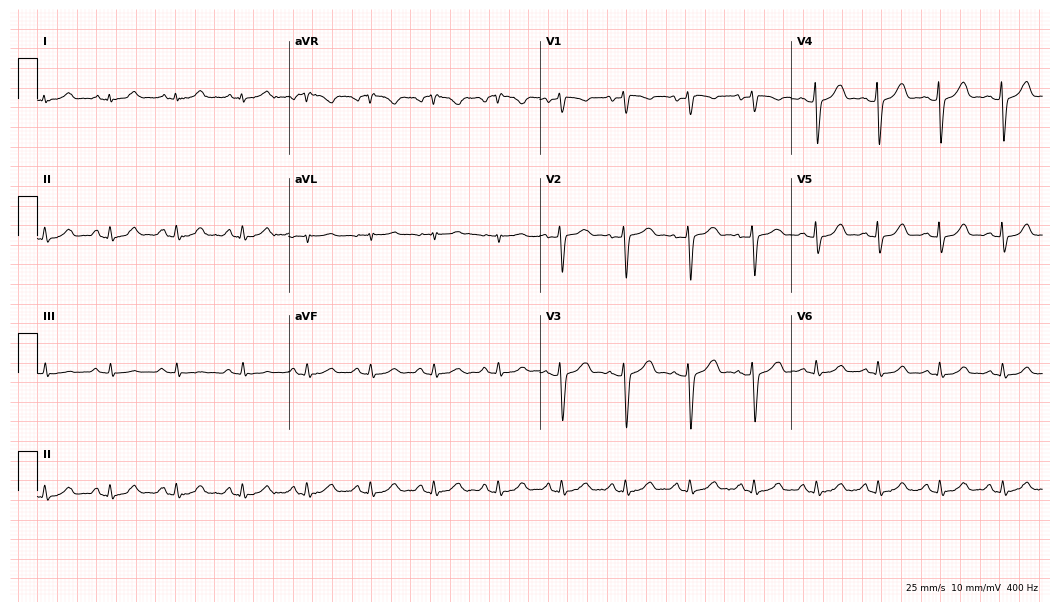
12-lead ECG from a female patient, 36 years old. Recorded interpretation: within normal limits.